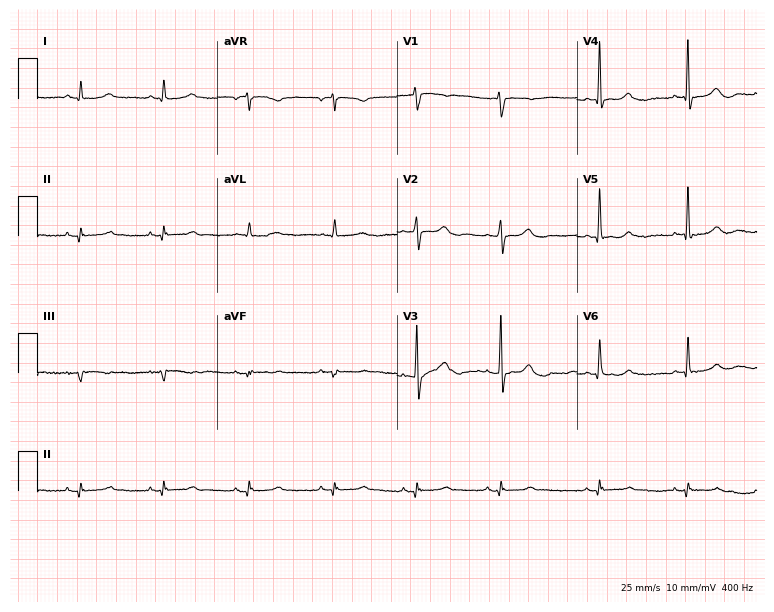
Resting 12-lead electrocardiogram (7.3-second recording at 400 Hz). Patient: a 75-year-old male. Read as a normal ECG.